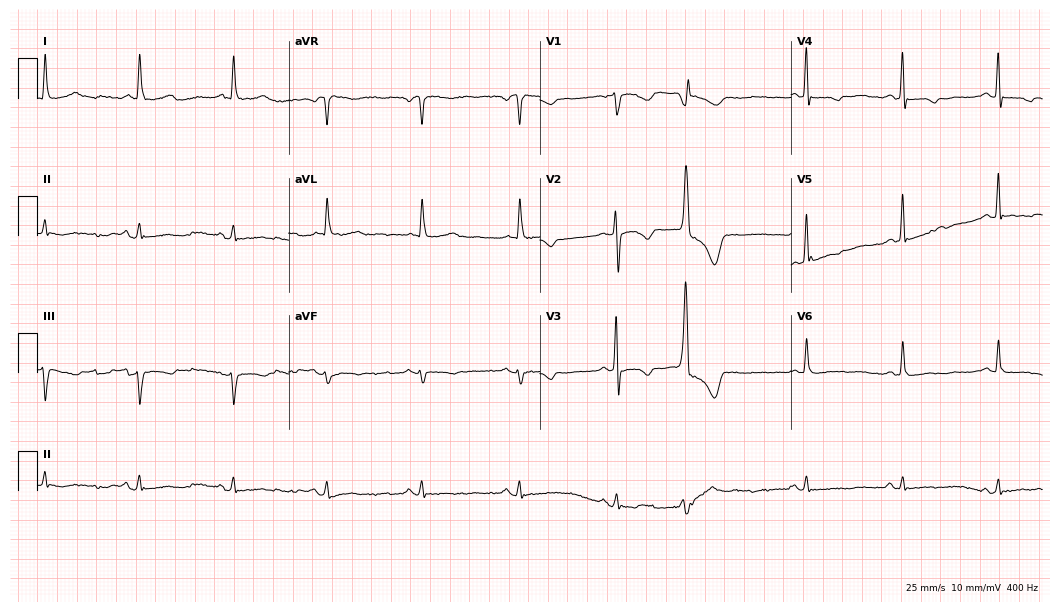
Electrocardiogram (10.2-second recording at 400 Hz), a woman, 84 years old. Of the six screened findings (first-degree AV block, right bundle branch block (RBBB), left bundle branch block (LBBB), sinus bradycardia, atrial fibrillation (AF), sinus tachycardia), none is recorded. Findings outside these six are not listed.